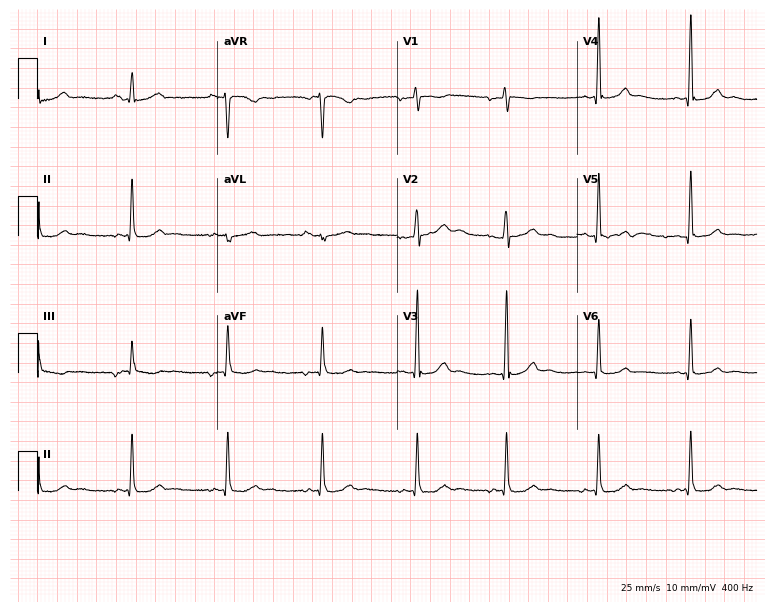
Standard 12-lead ECG recorded from a woman, 28 years old. None of these six findings is recorded: first-degree AV block, right bundle branch block, left bundle branch block, sinus bradycardia, atrial fibrillation, sinus tachycardia. Findings outside these six are not listed.